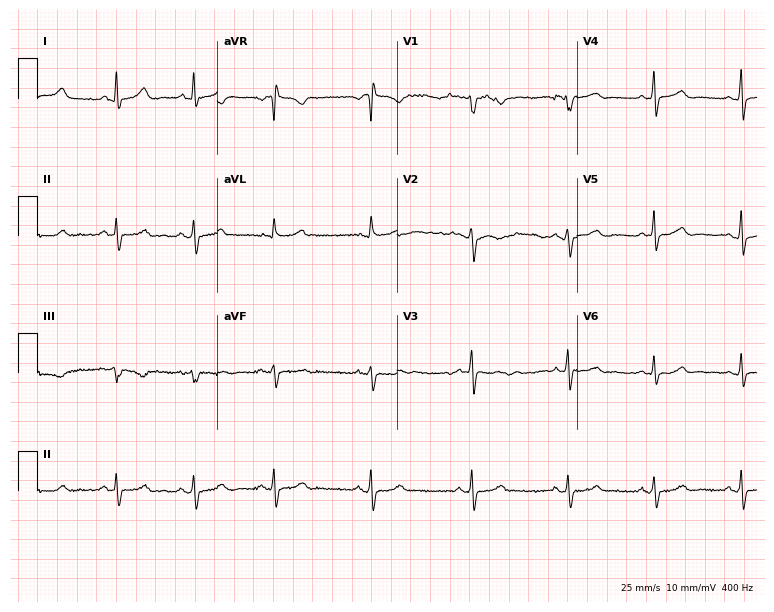
Electrocardiogram (7.3-second recording at 400 Hz), a 19-year-old woman. Overall reading on record: normal ECG.